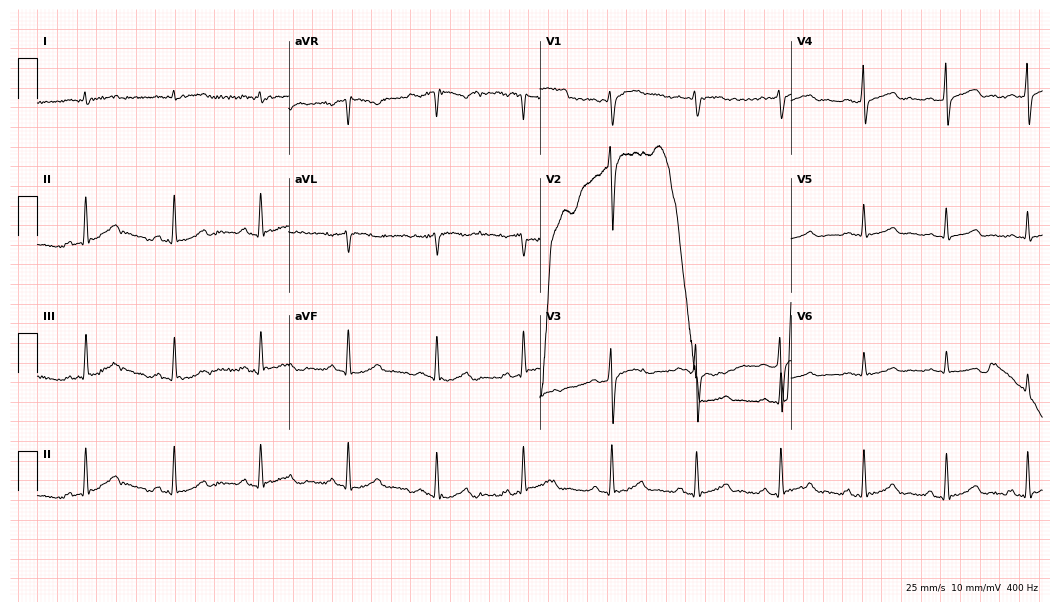
12-lead ECG from a 46-year-old man. No first-degree AV block, right bundle branch block (RBBB), left bundle branch block (LBBB), sinus bradycardia, atrial fibrillation (AF) or sinus tachycardia recorded for this tracing. Other findings, if any, are not listed.